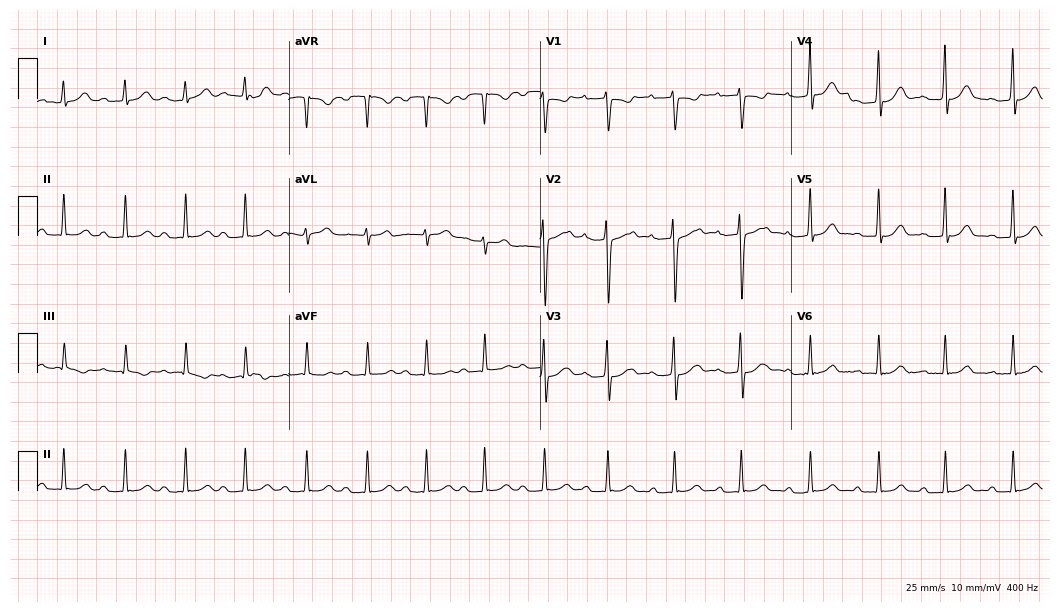
Standard 12-lead ECG recorded from an 18-year-old female. The tracing shows first-degree AV block.